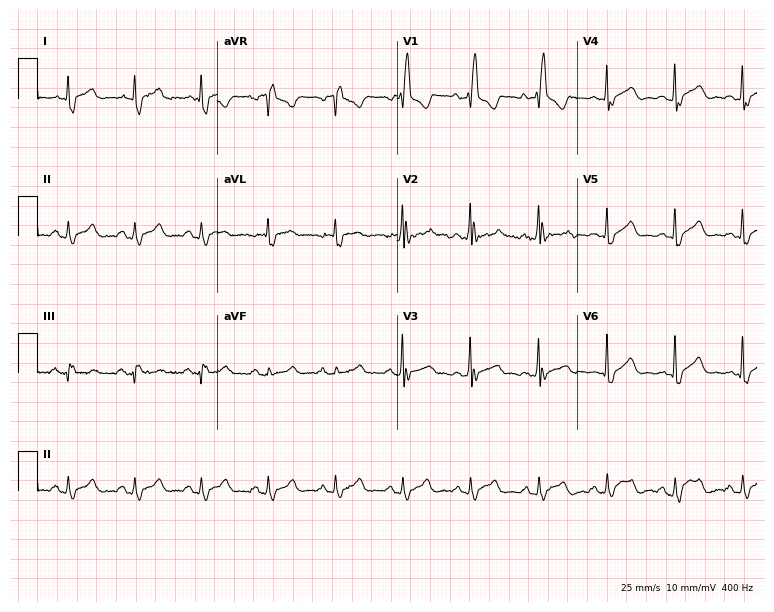
12-lead ECG from a 61-year-old male. Findings include right bundle branch block.